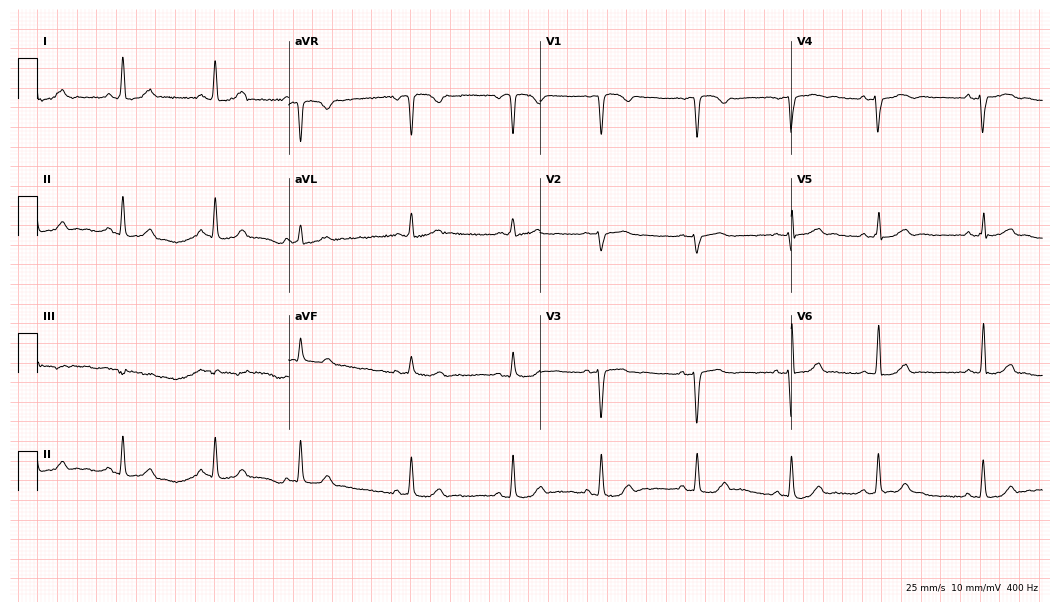
Resting 12-lead electrocardiogram (10.2-second recording at 400 Hz). Patient: a female, 31 years old. Read as a normal ECG.